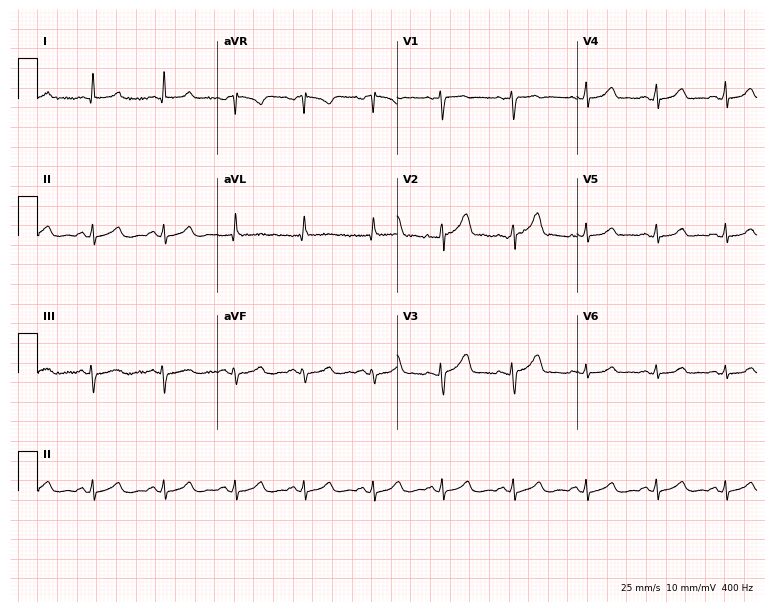
Resting 12-lead electrocardiogram. Patient: a female, 54 years old. Read as a normal ECG.